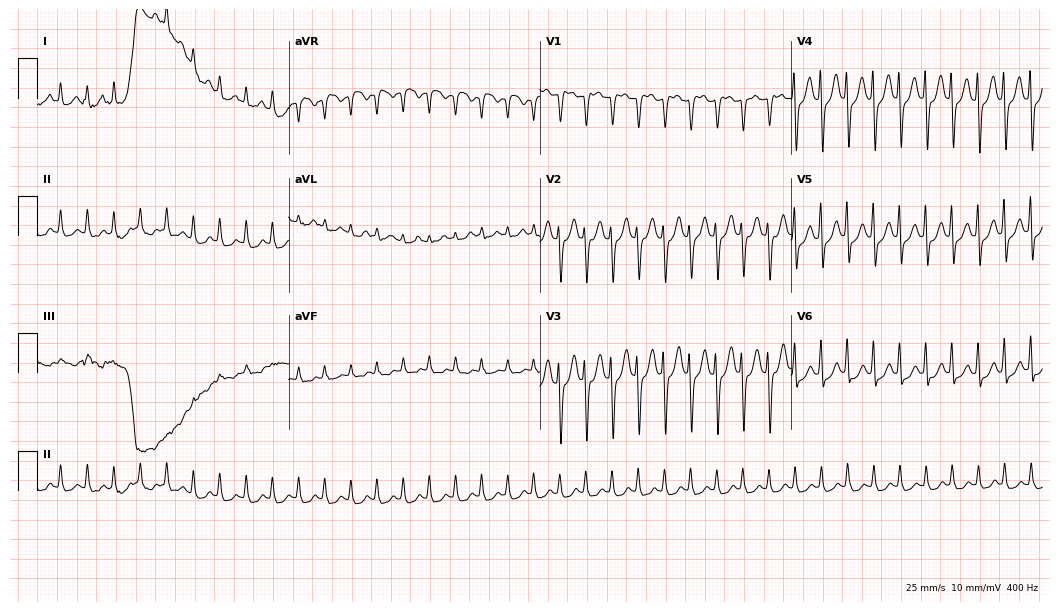
ECG (10.2-second recording at 400 Hz) — a female, 46 years old. Screened for six findings — first-degree AV block, right bundle branch block (RBBB), left bundle branch block (LBBB), sinus bradycardia, atrial fibrillation (AF), sinus tachycardia — none is recorded.